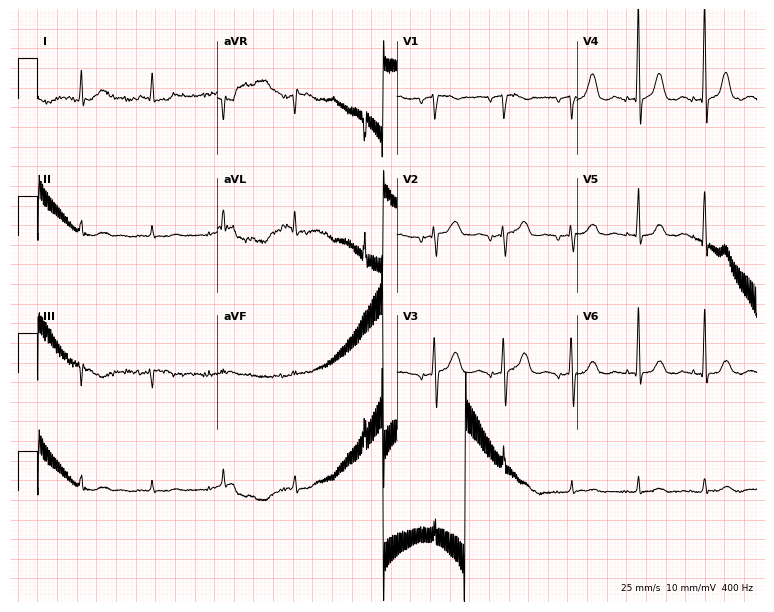
12-lead ECG (7.3-second recording at 400 Hz) from an 84-year-old female. Screened for six findings — first-degree AV block, right bundle branch block, left bundle branch block, sinus bradycardia, atrial fibrillation, sinus tachycardia — none is recorded. Other findings, if any, are not listed.